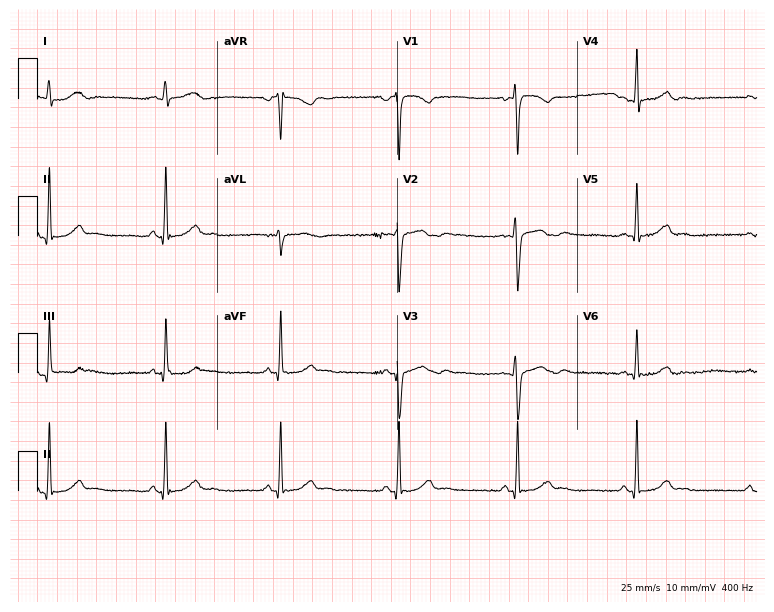
12-lead ECG from a woman, 24 years old. No first-degree AV block, right bundle branch block, left bundle branch block, sinus bradycardia, atrial fibrillation or sinus tachycardia recorded for this tracing.